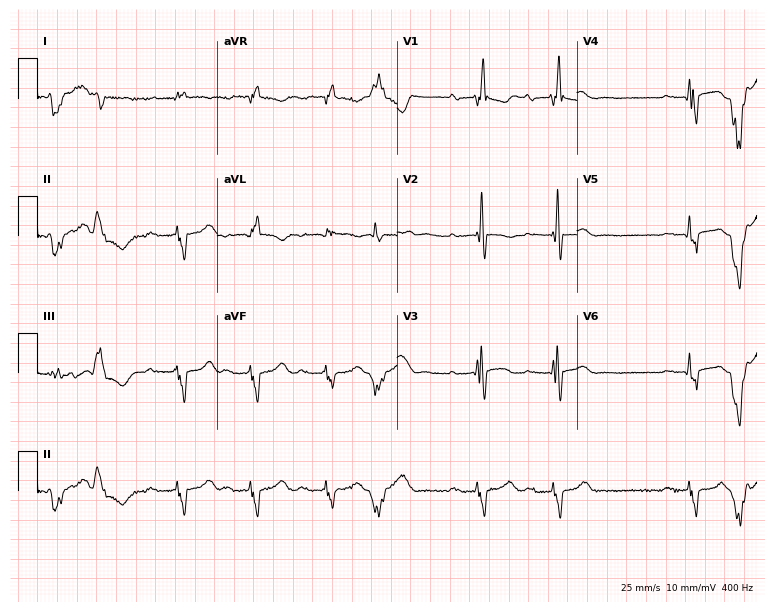
Resting 12-lead electrocardiogram (7.3-second recording at 400 Hz). Patient: a woman, 68 years old. The tracing shows first-degree AV block, right bundle branch block (RBBB).